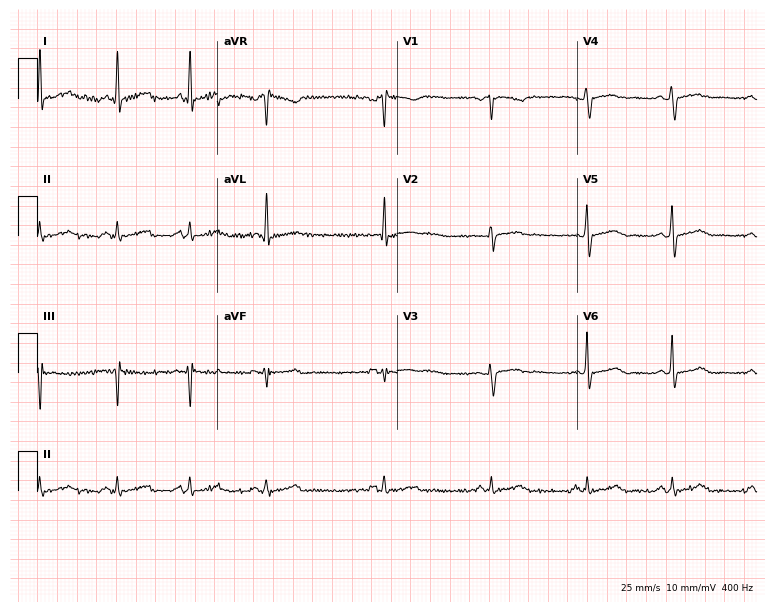
Standard 12-lead ECG recorded from a woman, 40 years old (7.3-second recording at 400 Hz). None of these six findings is recorded: first-degree AV block, right bundle branch block, left bundle branch block, sinus bradycardia, atrial fibrillation, sinus tachycardia.